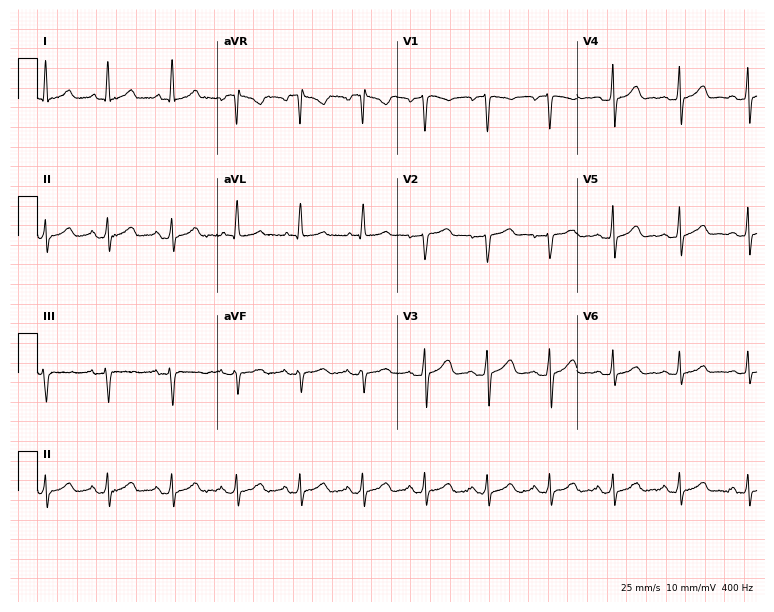
Electrocardiogram (7.3-second recording at 400 Hz), a 41-year-old female. Overall reading on record: normal ECG.